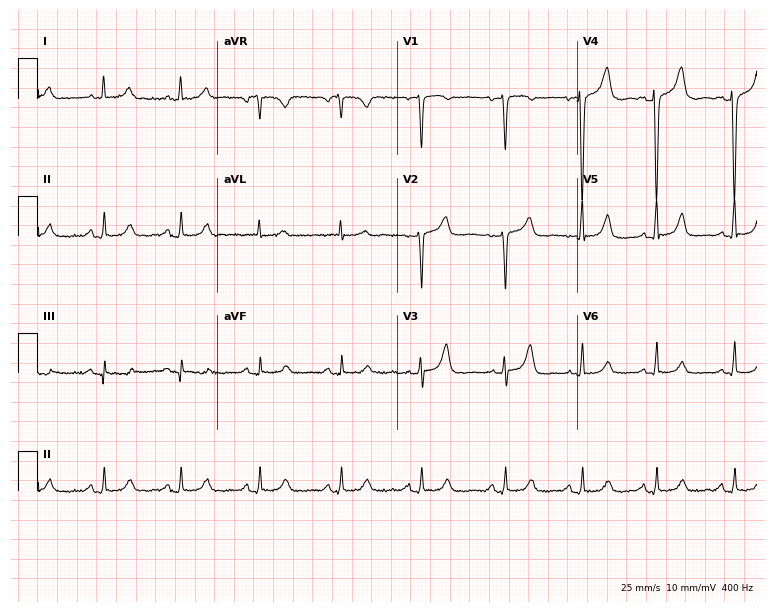
ECG (7.3-second recording at 400 Hz) — a female, 49 years old. Labelled as a normal ECG.